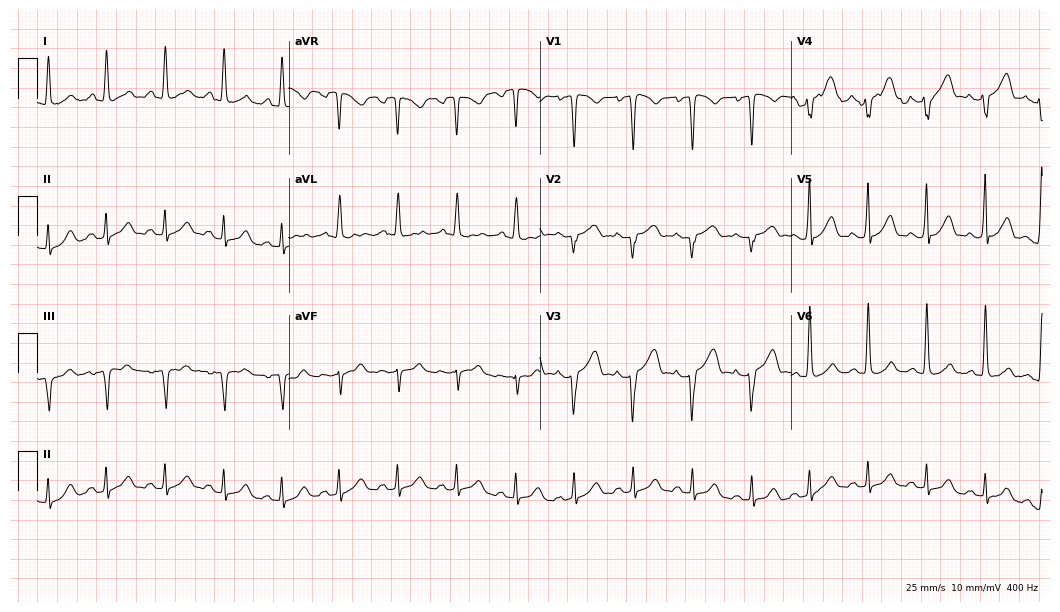
12-lead ECG from a 43-year-old female patient (10.2-second recording at 400 Hz). Shows sinus tachycardia (a sinus rate of 100 beats per minute or more).